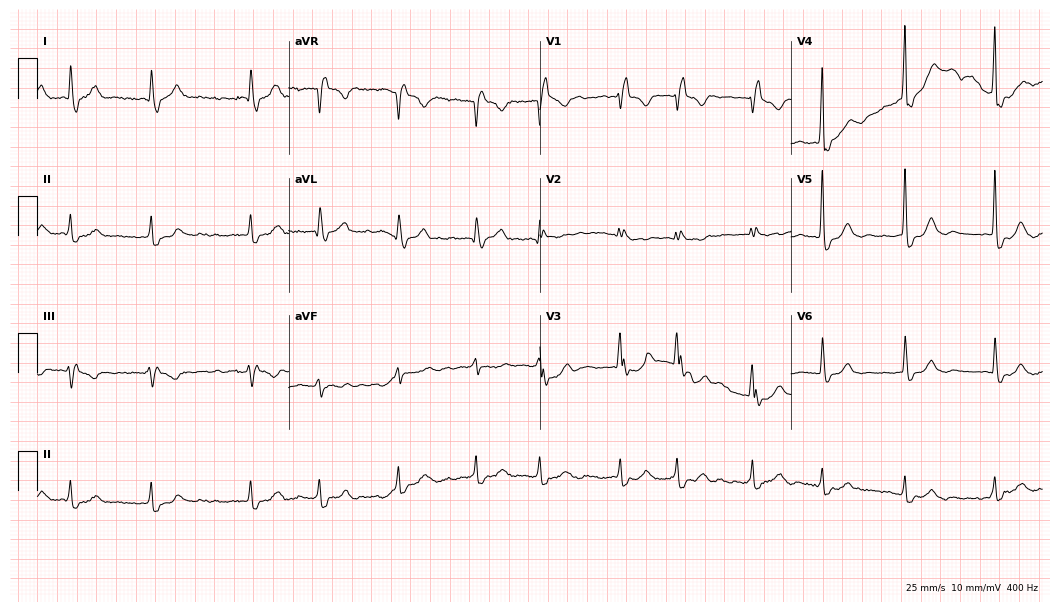
Resting 12-lead electrocardiogram. Patient: a 63-year-old man. The tracing shows right bundle branch block, atrial fibrillation.